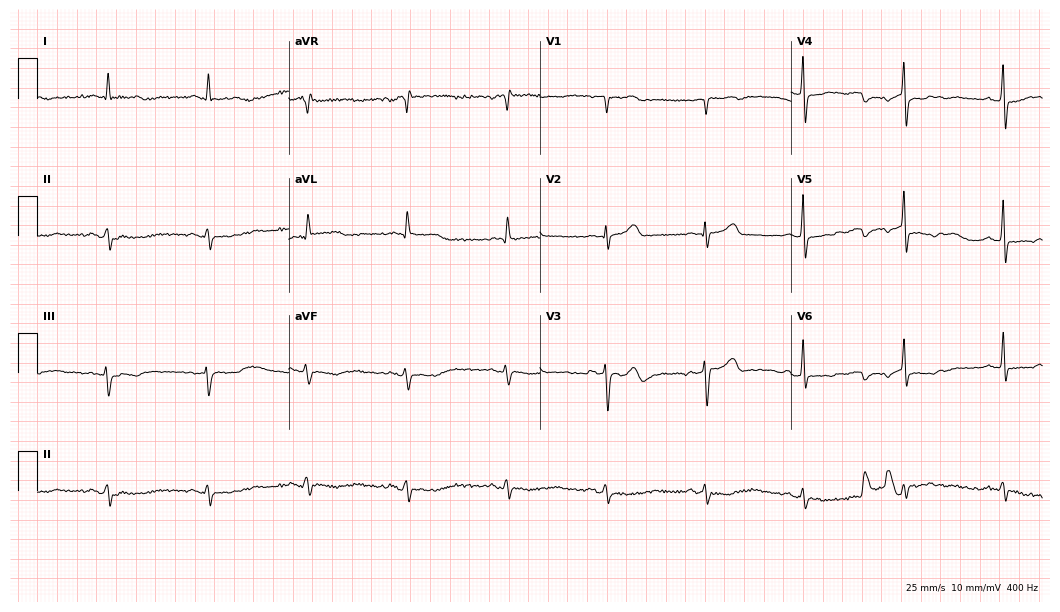
Electrocardiogram, a male, 73 years old. Of the six screened findings (first-degree AV block, right bundle branch block (RBBB), left bundle branch block (LBBB), sinus bradycardia, atrial fibrillation (AF), sinus tachycardia), none is recorded. Other findings, if any, are not listed.